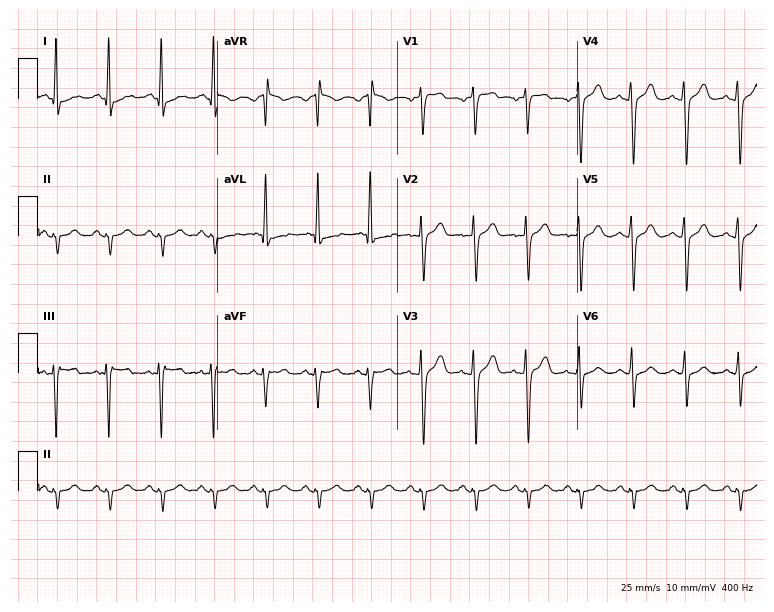
Electrocardiogram (7.3-second recording at 400 Hz), a 55-year-old man. Interpretation includes sinus tachycardia (a sinus rate of 100 beats per minute or more).